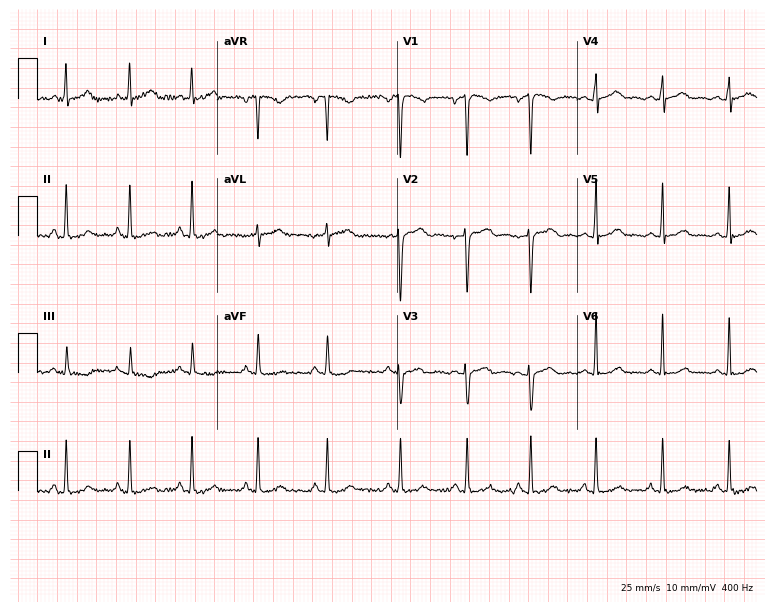
ECG (7.3-second recording at 400 Hz) — a 29-year-old female patient. Labelled as a normal ECG.